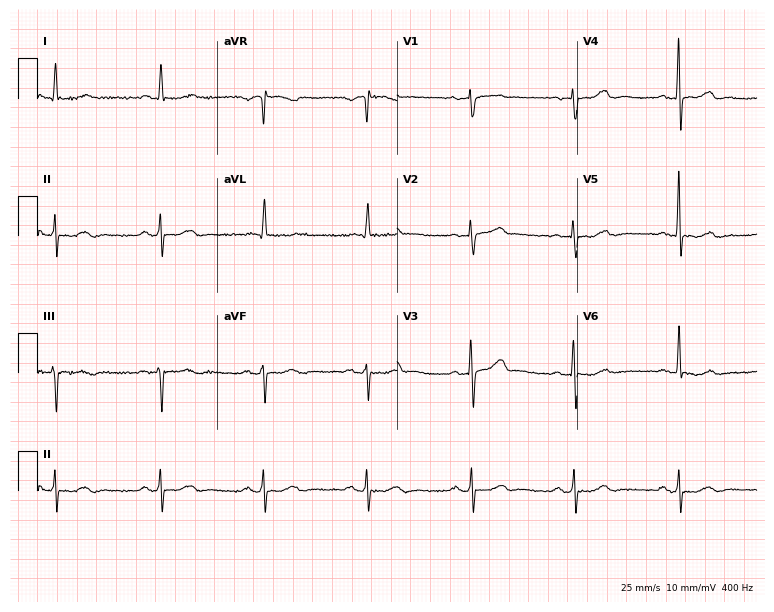
12-lead ECG from a woman, 74 years old (7.3-second recording at 400 Hz). No first-degree AV block, right bundle branch block, left bundle branch block, sinus bradycardia, atrial fibrillation or sinus tachycardia recorded for this tracing. Findings outside these six are not listed.